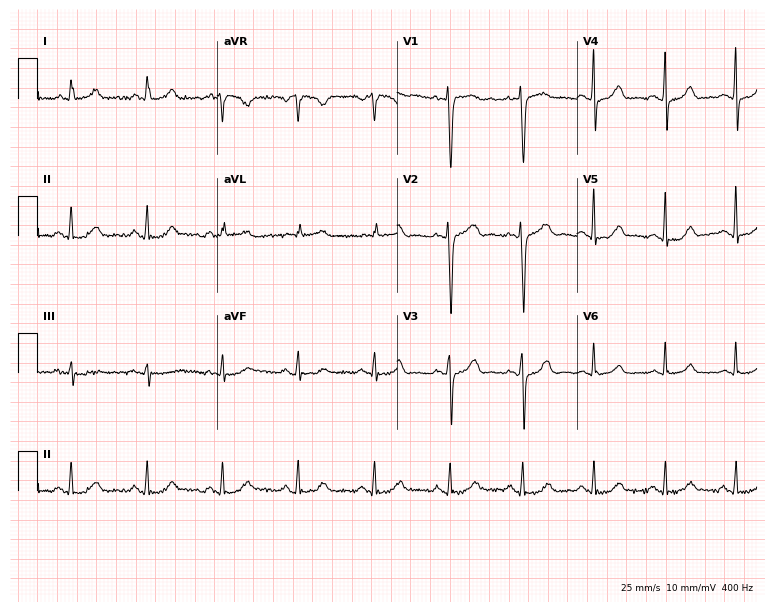
ECG (7.3-second recording at 400 Hz) — a 50-year-old female patient. Labelled as a normal ECG.